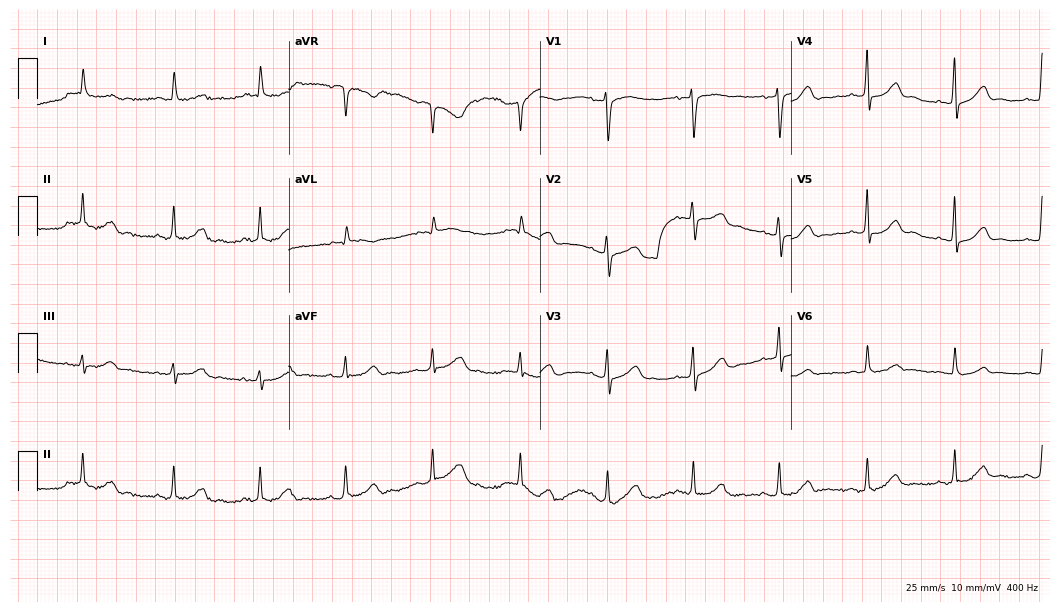
12-lead ECG from a female, 81 years old (10.2-second recording at 400 Hz). Recorded interpretation: within normal limits.